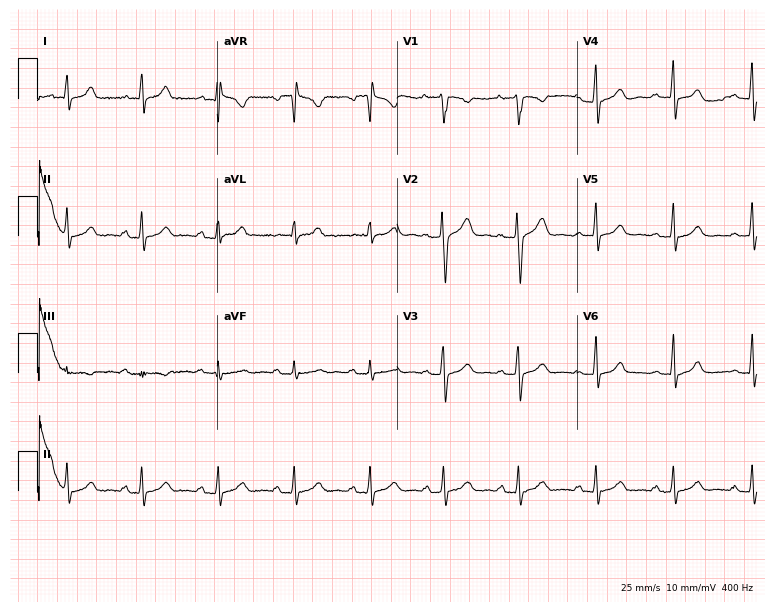
12-lead ECG from a female patient, 24 years old. Recorded interpretation: within normal limits.